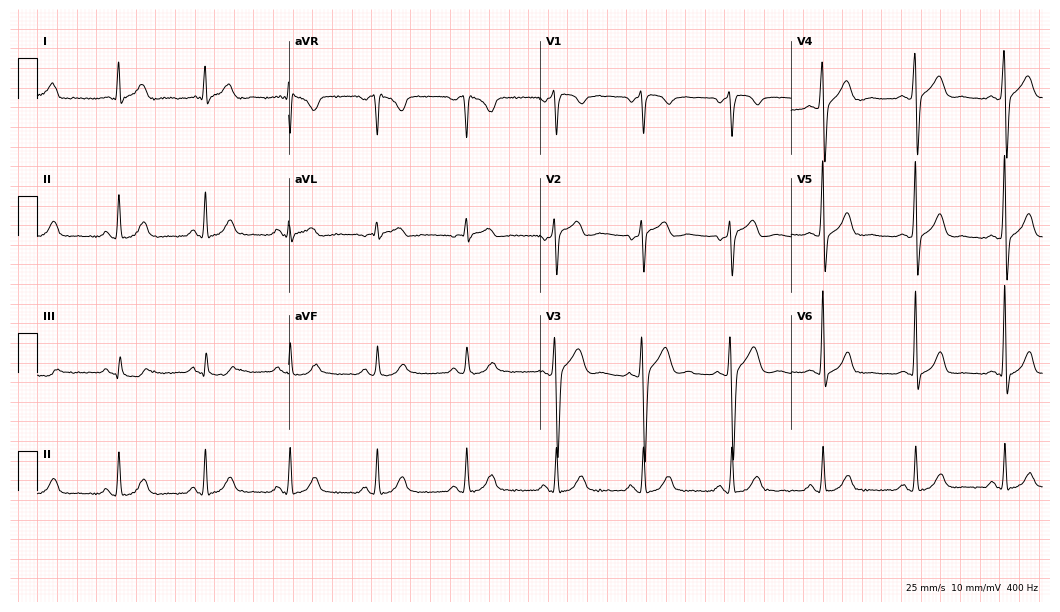
12-lead ECG from a man, 47 years old. Labelled as a normal ECG.